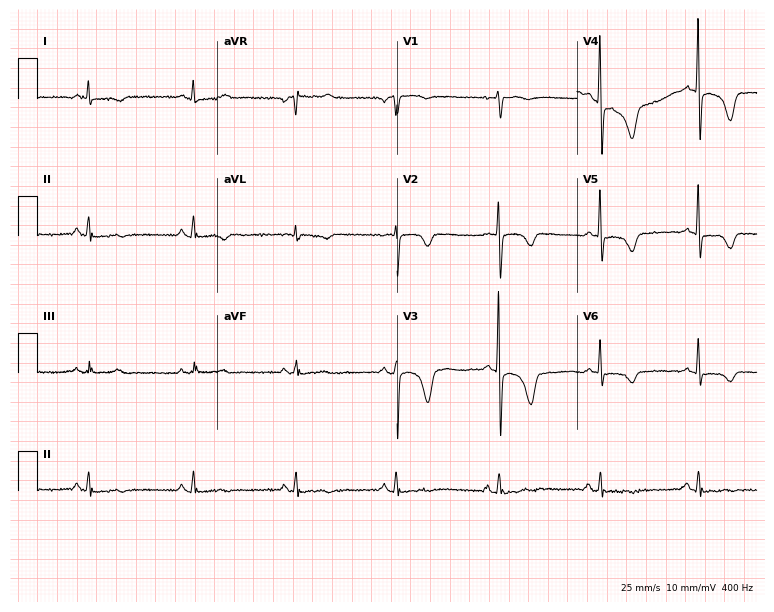
Standard 12-lead ECG recorded from a 71-year-old female patient. None of these six findings is recorded: first-degree AV block, right bundle branch block (RBBB), left bundle branch block (LBBB), sinus bradycardia, atrial fibrillation (AF), sinus tachycardia.